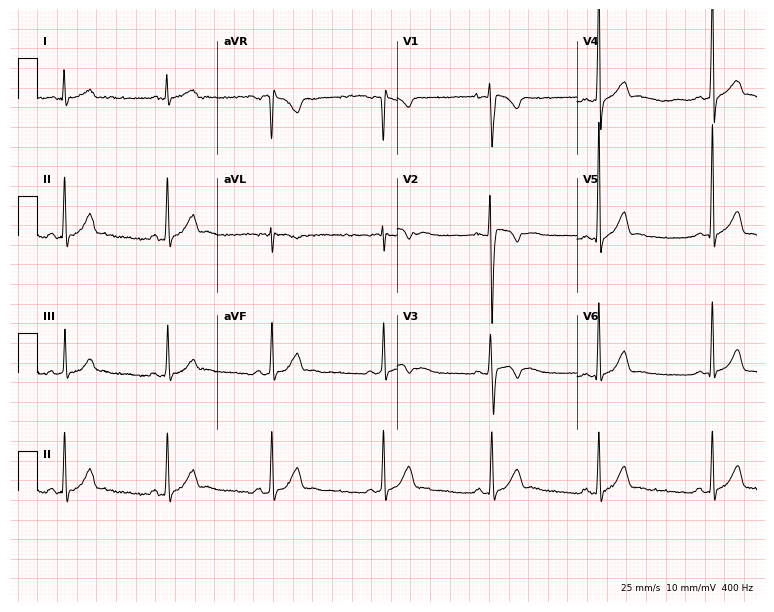
12-lead ECG from a male patient, 17 years old. Labelled as a normal ECG.